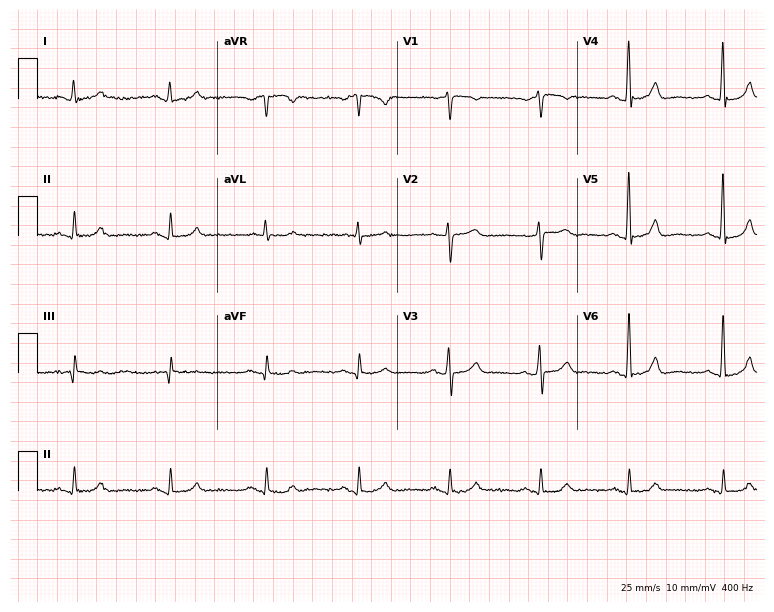
ECG — a 59-year-old male. Labelled as a normal ECG.